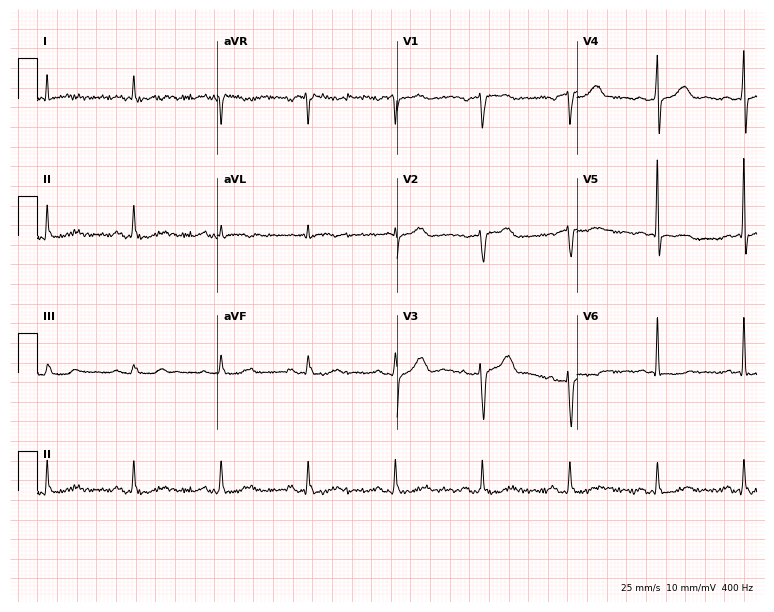
12-lead ECG from a 75-year-old male (7.3-second recording at 400 Hz). No first-degree AV block, right bundle branch block, left bundle branch block, sinus bradycardia, atrial fibrillation or sinus tachycardia recorded for this tracing. Only these six findings were labelled.